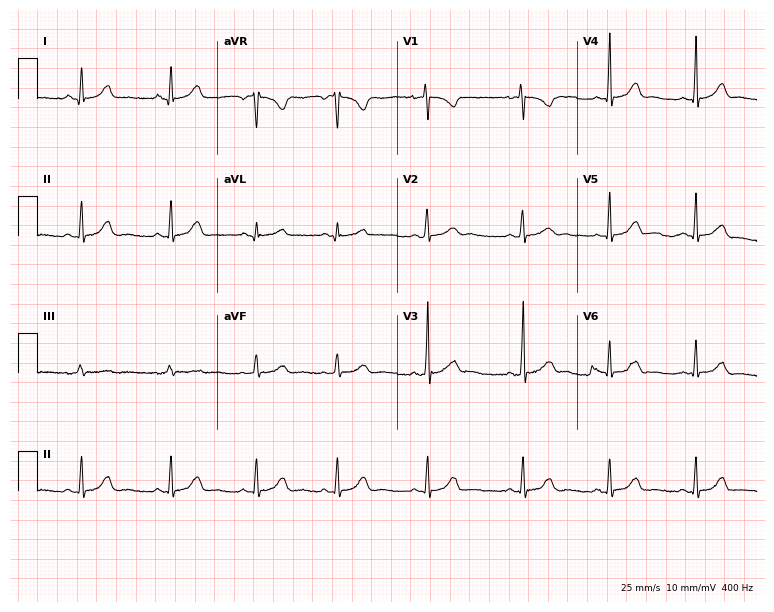
12-lead ECG (7.3-second recording at 400 Hz) from a 21-year-old woman. Screened for six findings — first-degree AV block, right bundle branch block, left bundle branch block, sinus bradycardia, atrial fibrillation, sinus tachycardia — none is recorded.